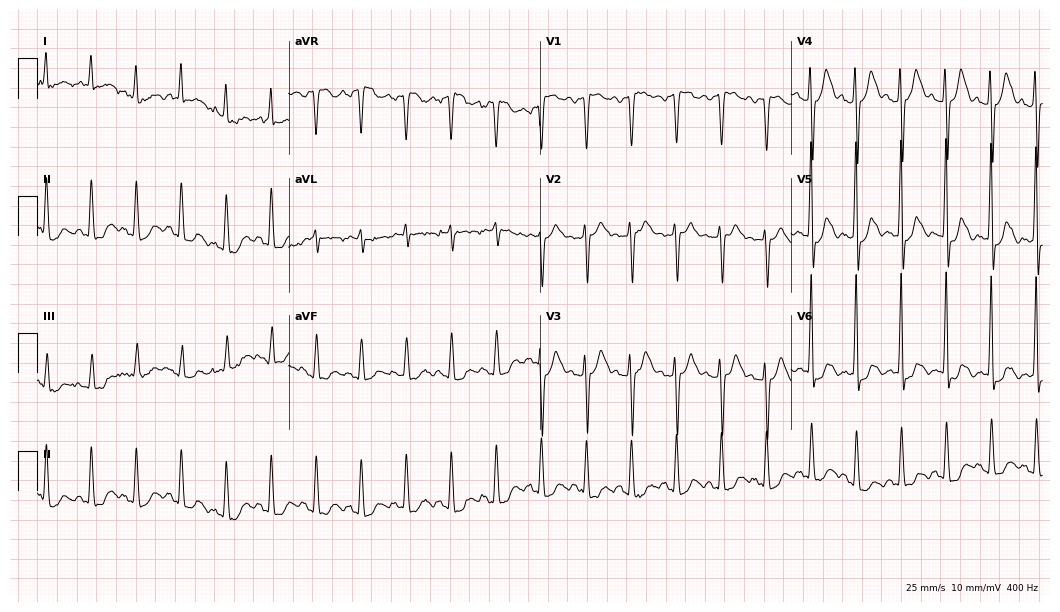
Resting 12-lead electrocardiogram (10.2-second recording at 400 Hz). Patient: a 78-year-old man. The tracing shows sinus tachycardia (a sinus rate of 100 beats per minute or more).